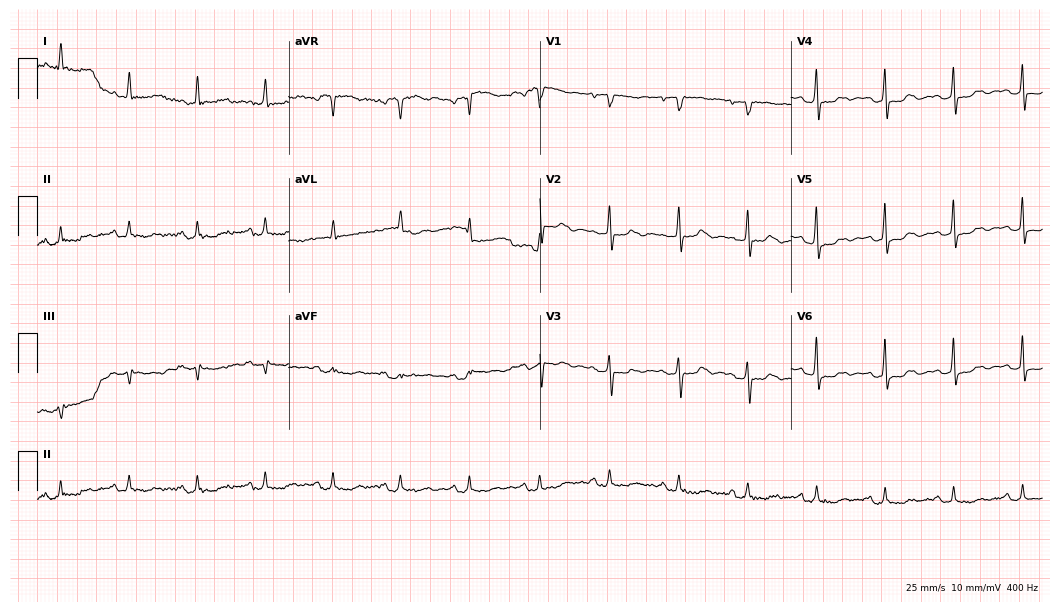
Standard 12-lead ECG recorded from an 84-year-old female (10.2-second recording at 400 Hz). None of these six findings is recorded: first-degree AV block, right bundle branch block (RBBB), left bundle branch block (LBBB), sinus bradycardia, atrial fibrillation (AF), sinus tachycardia. Other findings, if any, are not listed.